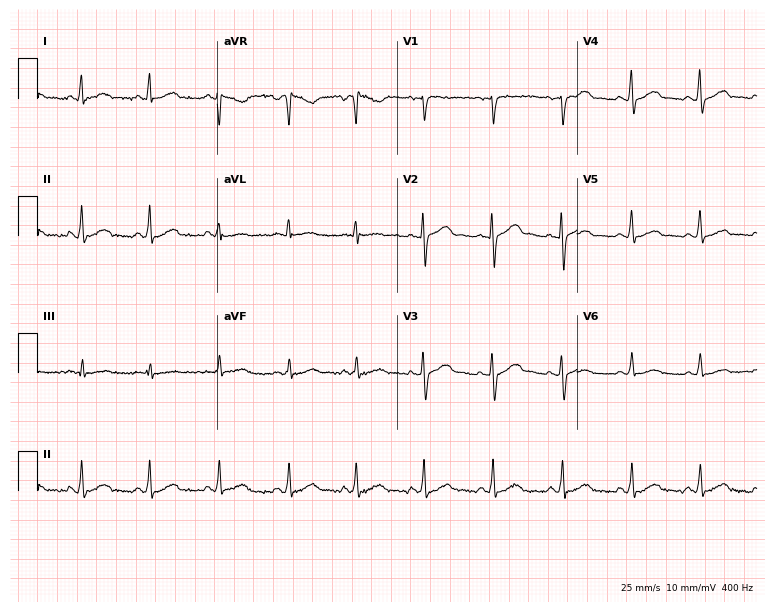
Standard 12-lead ECG recorded from a female, 48 years old. Read as a normal ECG.